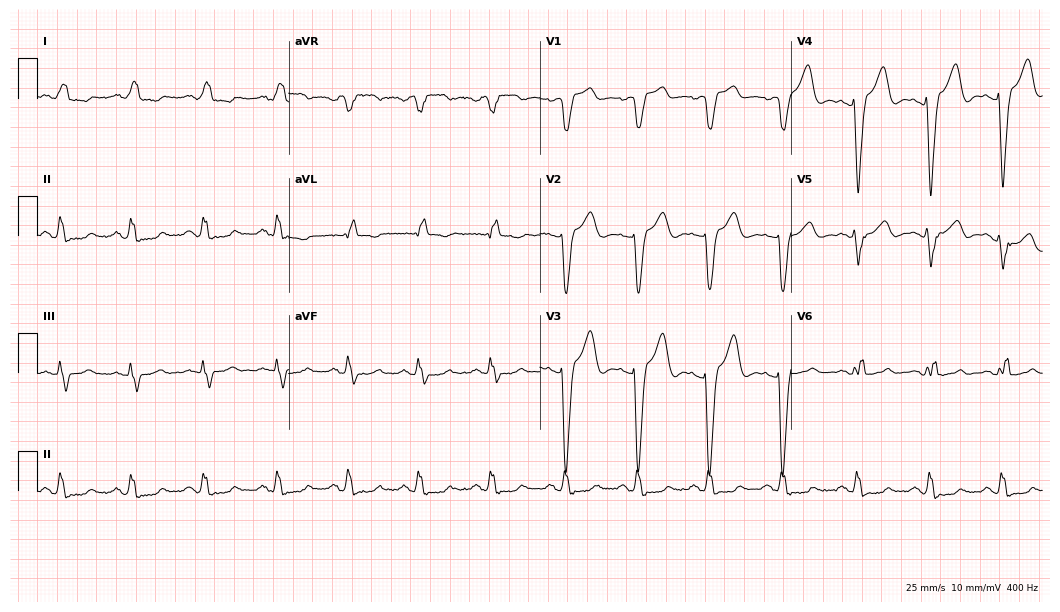
12-lead ECG from a woman, 70 years old. Shows left bundle branch block.